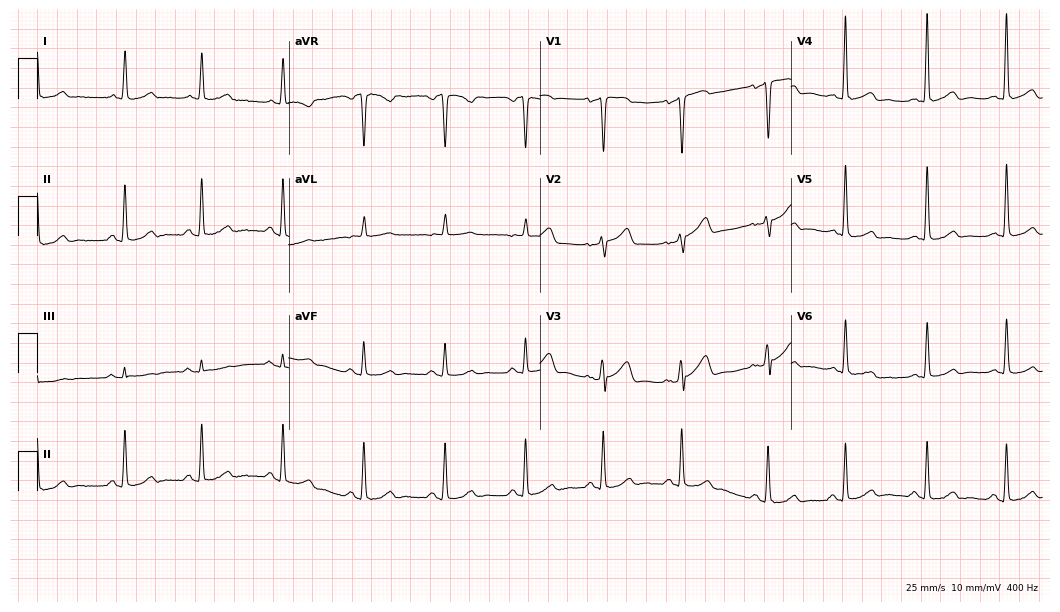
ECG (10.2-second recording at 400 Hz) — a male patient, 54 years old. Screened for six findings — first-degree AV block, right bundle branch block (RBBB), left bundle branch block (LBBB), sinus bradycardia, atrial fibrillation (AF), sinus tachycardia — none is recorded. Only these six findings were labelled.